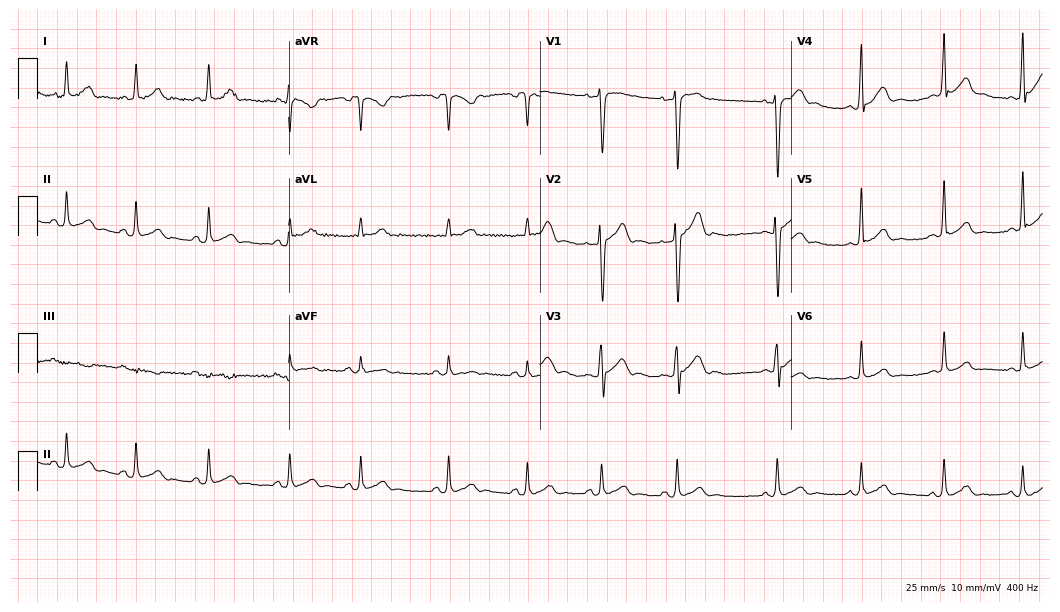
12-lead ECG (10.2-second recording at 400 Hz) from a 20-year-old male. Labelled as a normal ECG.